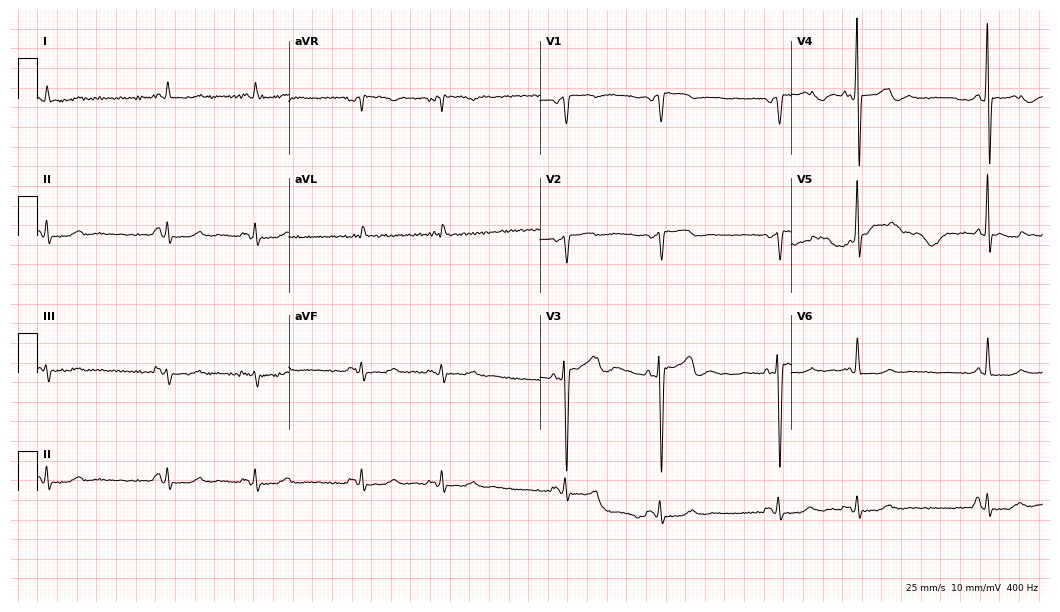
Resting 12-lead electrocardiogram (10.2-second recording at 400 Hz). Patient: a male, 78 years old. None of these six findings is recorded: first-degree AV block, right bundle branch block, left bundle branch block, sinus bradycardia, atrial fibrillation, sinus tachycardia. Findings outside these six are not listed.